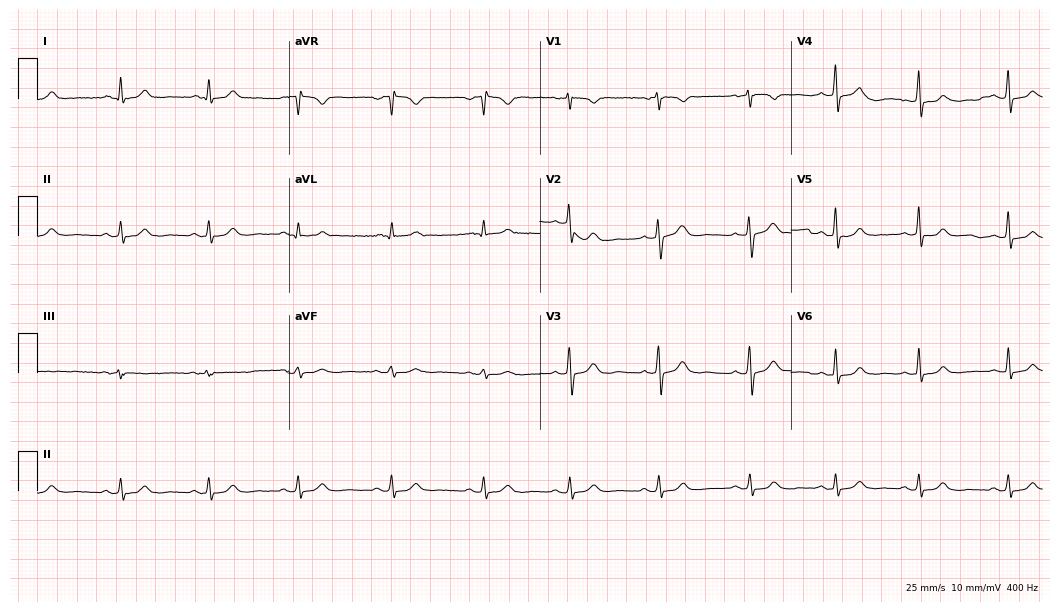
ECG — a 47-year-old female patient. Labelled as a normal ECG.